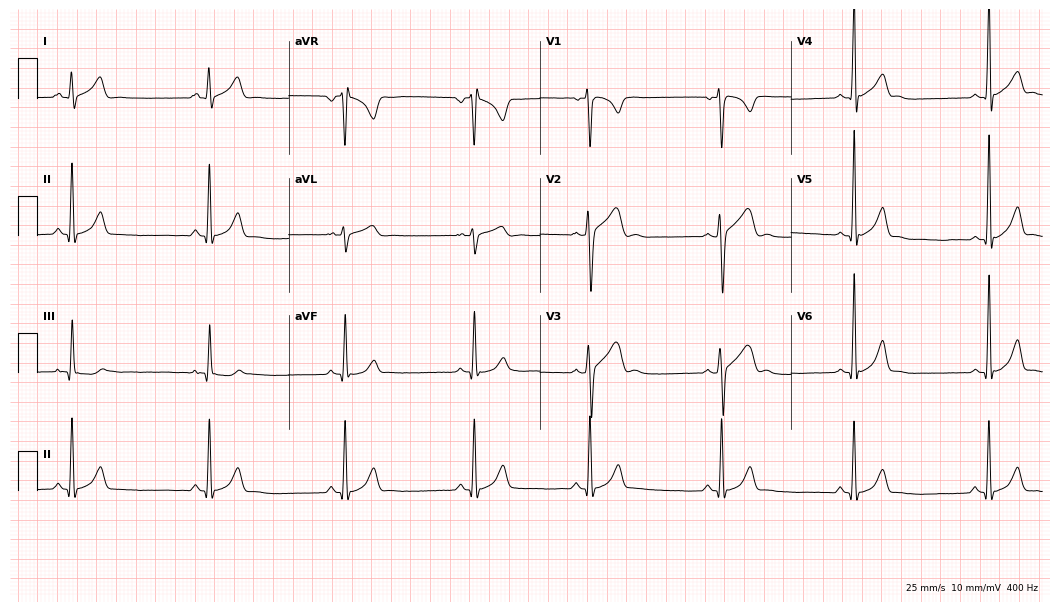
Standard 12-lead ECG recorded from a male patient, 17 years old. Read as a normal ECG.